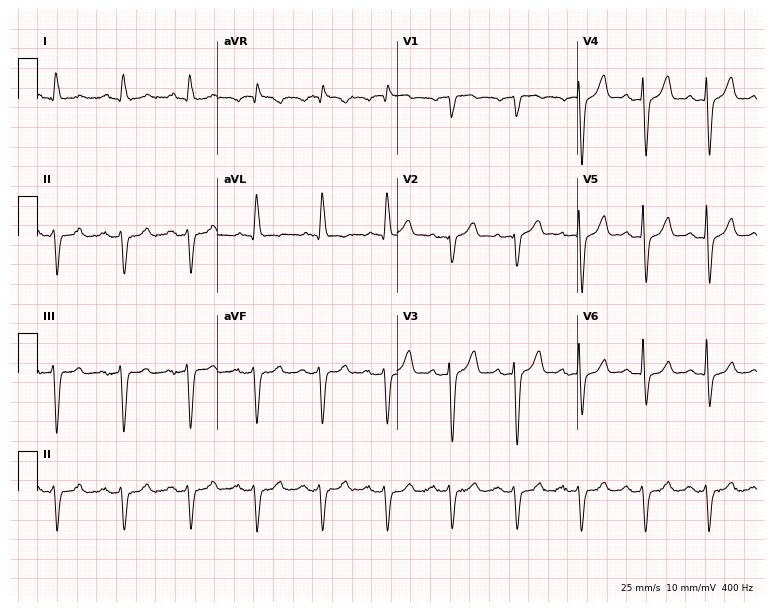
ECG (7.3-second recording at 400 Hz) — a man, 82 years old. Screened for six findings — first-degree AV block, right bundle branch block (RBBB), left bundle branch block (LBBB), sinus bradycardia, atrial fibrillation (AF), sinus tachycardia — none is recorded.